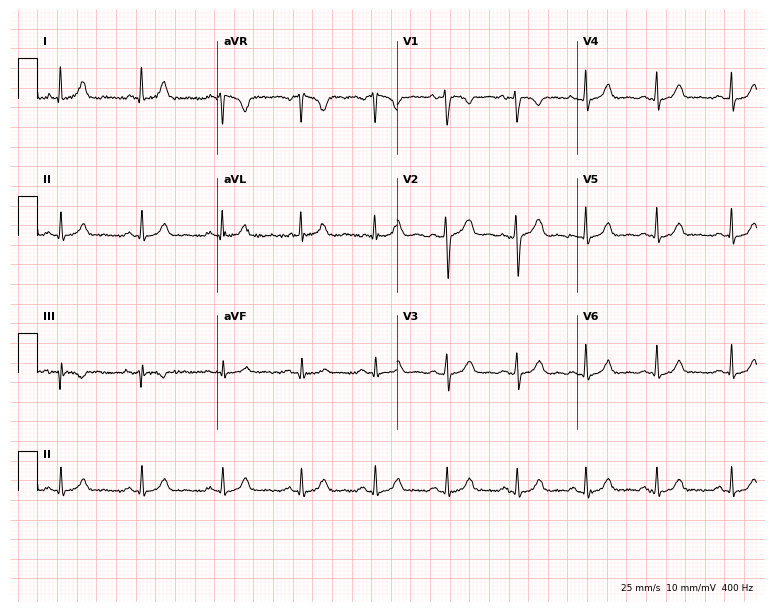
ECG — a 46-year-old woman. Screened for six findings — first-degree AV block, right bundle branch block (RBBB), left bundle branch block (LBBB), sinus bradycardia, atrial fibrillation (AF), sinus tachycardia — none is recorded.